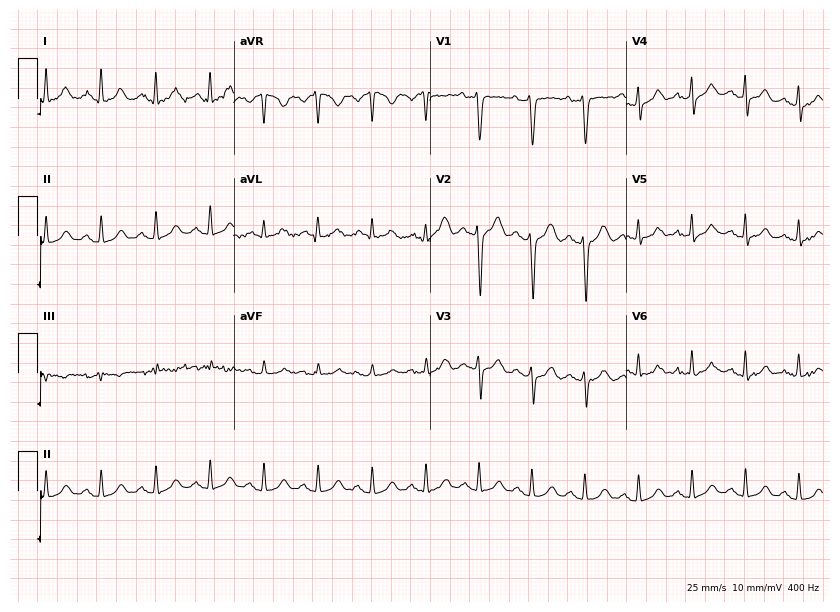
Electrocardiogram, a man, 37 years old. Interpretation includes sinus tachycardia (a sinus rate of 100 beats per minute or more).